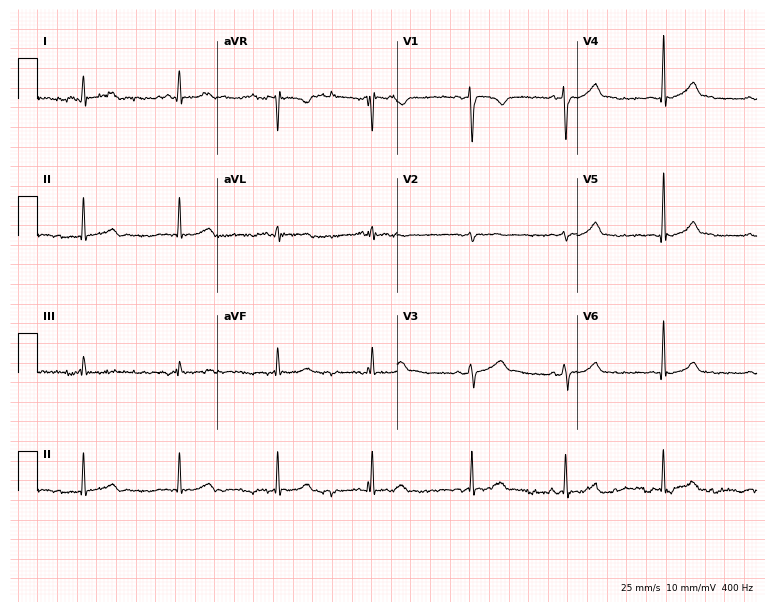
12-lead ECG from a woman, 27 years old (7.3-second recording at 400 Hz). Recorded interpretation: within normal limits.